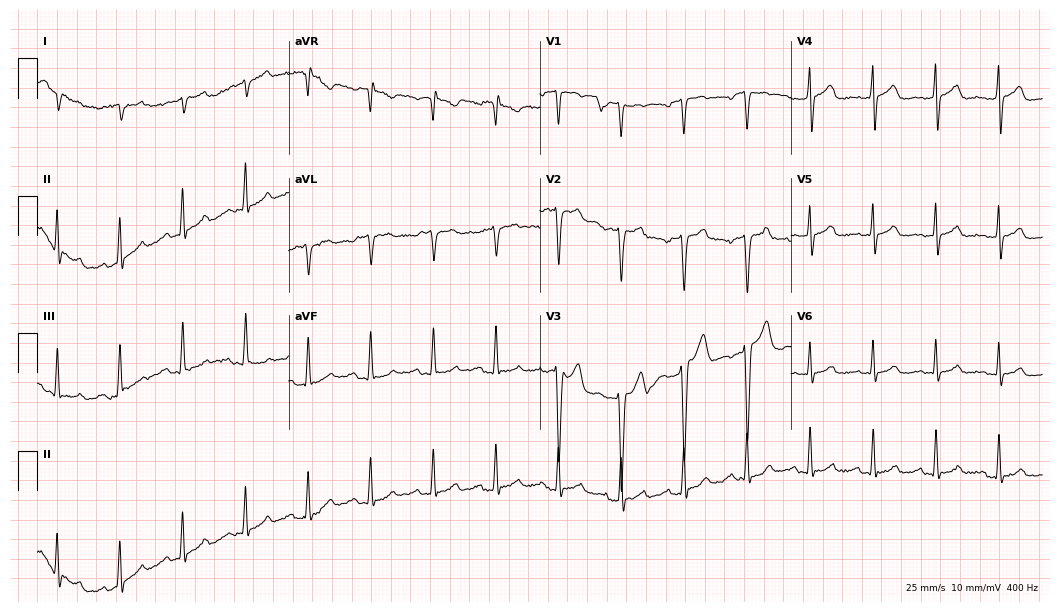
ECG (10.2-second recording at 400 Hz) — a 30-year-old male. Screened for six findings — first-degree AV block, right bundle branch block, left bundle branch block, sinus bradycardia, atrial fibrillation, sinus tachycardia — none is recorded.